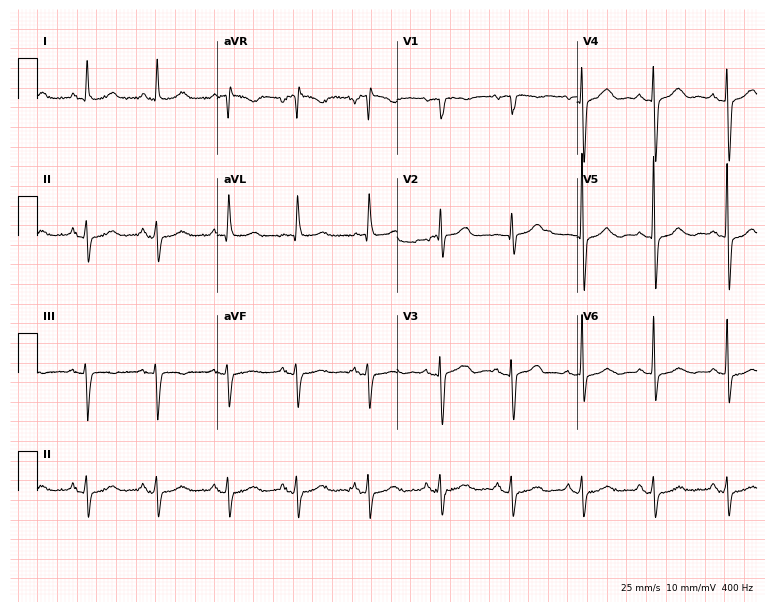
12-lead ECG from a 64-year-old female patient. Screened for six findings — first-degree AV block, right bundle branch block, left bundle branch block, sinus bradycardia, atrial fibrillation, sinus tachycardia — none is recorded.